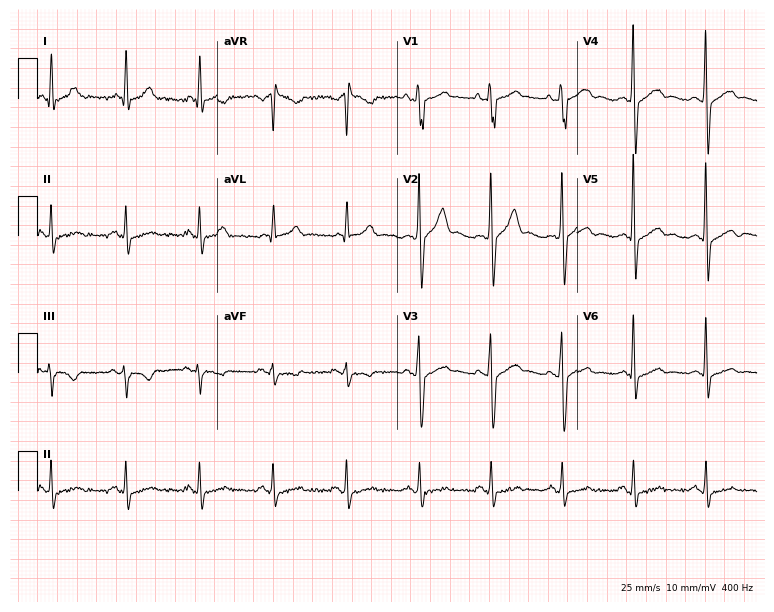
Resting 12-lead electrocardiogram. Patient: a male, 47 years old. Read as a normal ECG.